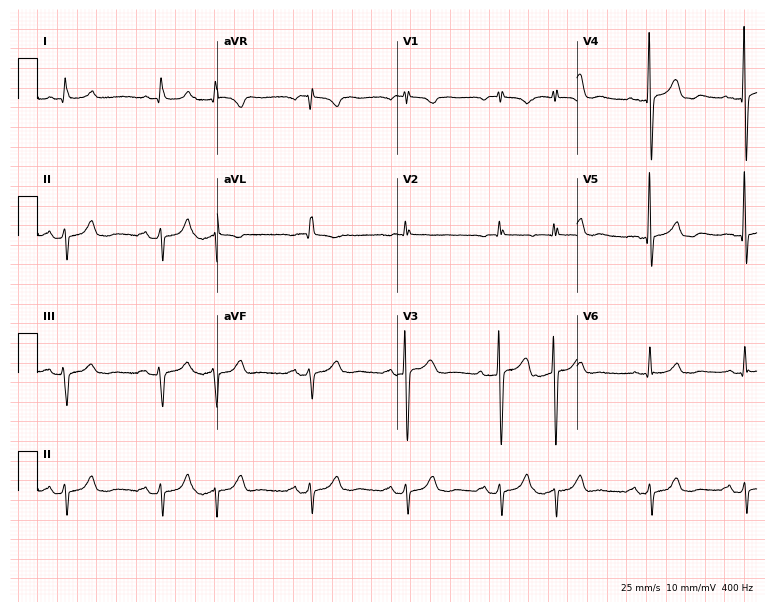
Resting 12-lead electrocardiogram (7.3-second recording at 400 Hz). Patient: an 81-year-old female. None of these six findings is recorded: first-degree AV block, right bundle branch block (RBBB), left bundle branch block (LBBB), sinus bradycardia, atrial fibrillation (AF), sinus tachycardia. Only these six findings were labelled.